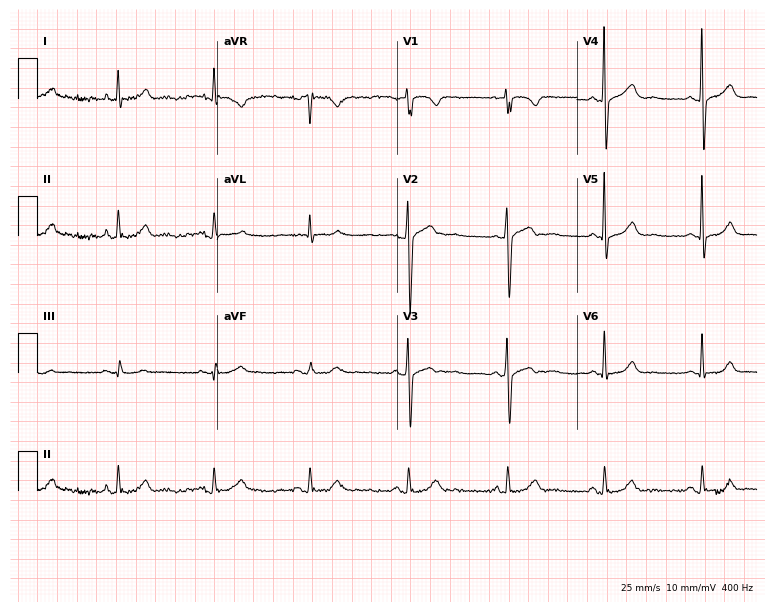
Resting 12-lead electrocardiogram. Patient: a female, 53 years old. None of these six findings is recorded: first-degree AV block, right bundle branch block, left bundle branch block, sinus bradycardia, atrial fibrillation, sinus tachycardia.